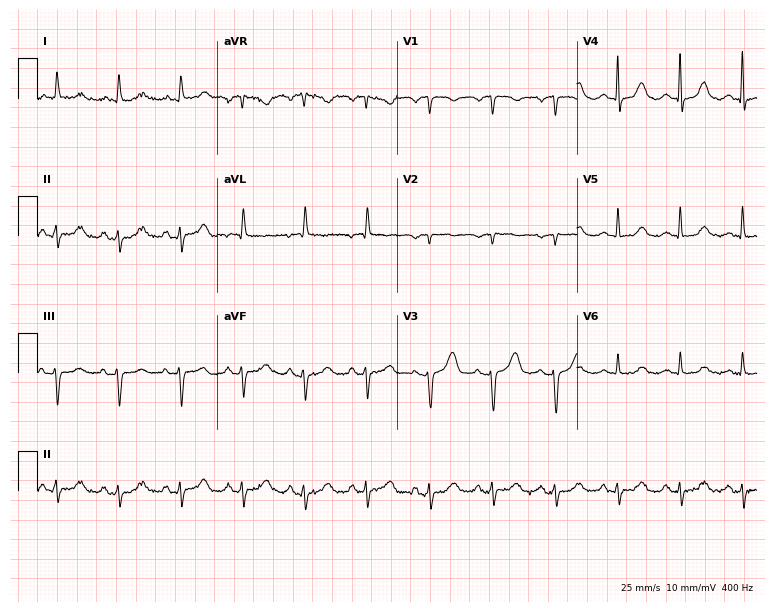
Standard 12-lead ECG recorded from a woman, 82 years old (7.3-second recording at 400 Hz). None of these six findings is recorded: first-degree AV block, right bundle branch block, left bundle branch block, sinus bradycardia, atrial fibrillation, sinus tachycardia. Other findings, if any, are not listed.